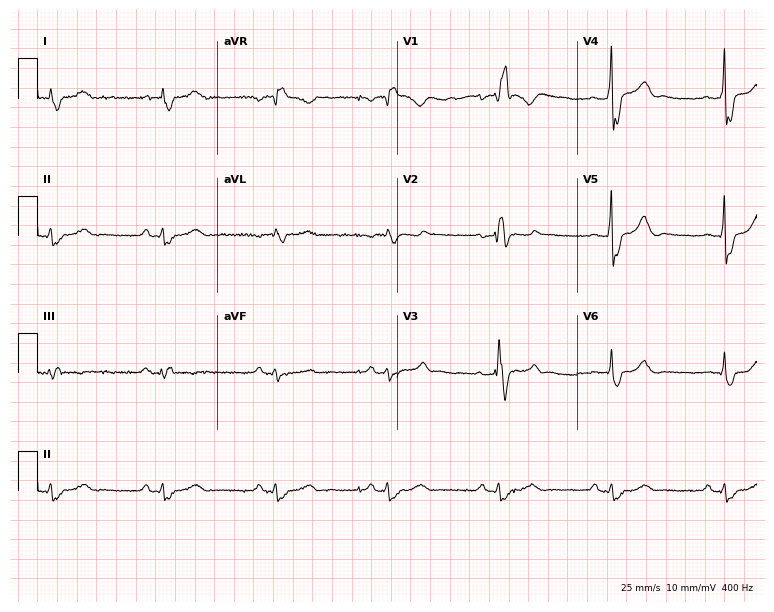
ECG (7.3-second recording at 400 Hz) — a 59-year-old man. Findings include right bundle branch block (RBBB).